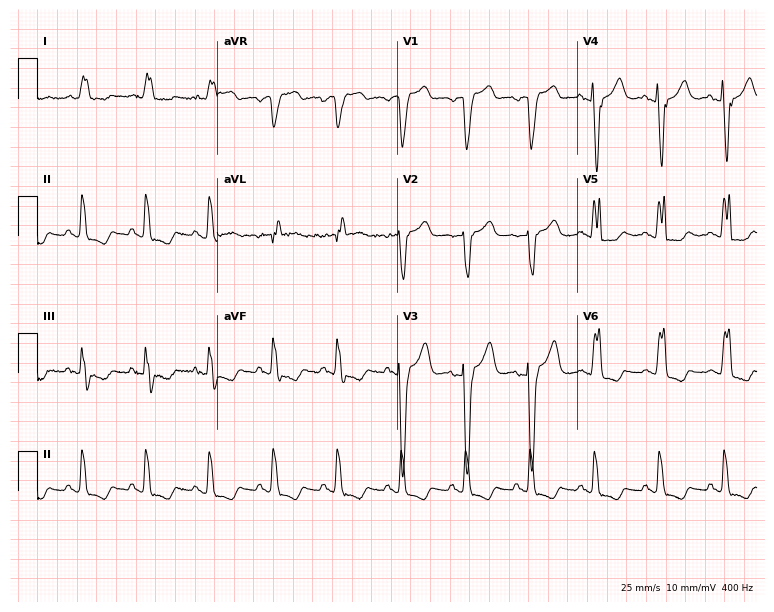
Electrocardiogram (7.3-second recording at 400 Hz), a 63-year-old female patient. Interpretation includes left bundle branch block (LBBB).